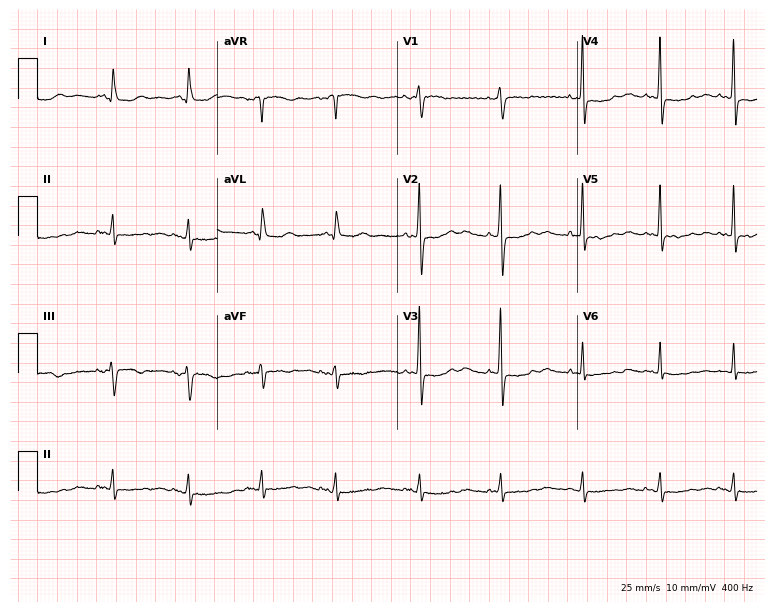
12-lead ECG from a female, 74 years old. No first-degree AV block, right bundle branch block (RBBB), left bundle branch block (LBBB), sinus bradycardia, atrial fibrillation (AF) or sinus tachycardia recorded for this tracing. Other findings, if any, are not listed.